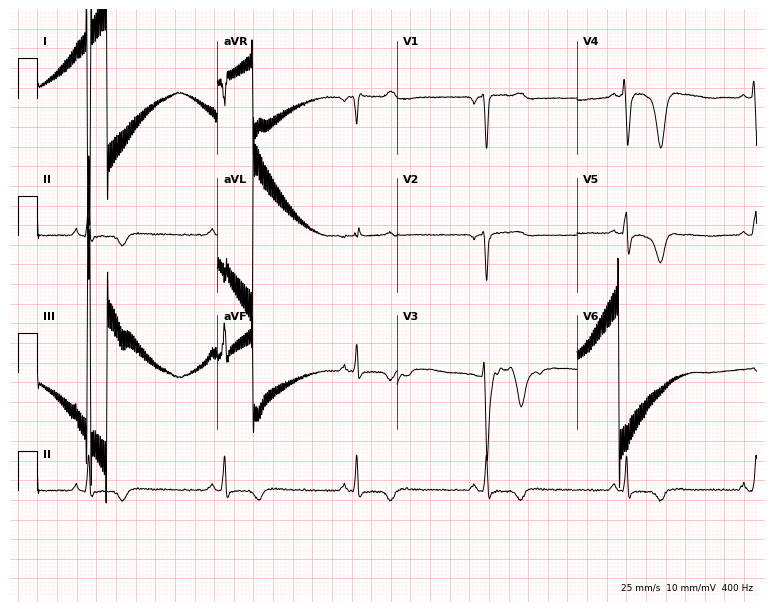
12-lead ECG from a female patient, 55 years old. No first-degree AV block, right bundle branch block (RBBB), left bundle branch block (LBBB), sinus bradycardia, atrial fibrillation (AF) or sinus tachycardia recorded for this tracing. Findings outside these six are not listed.